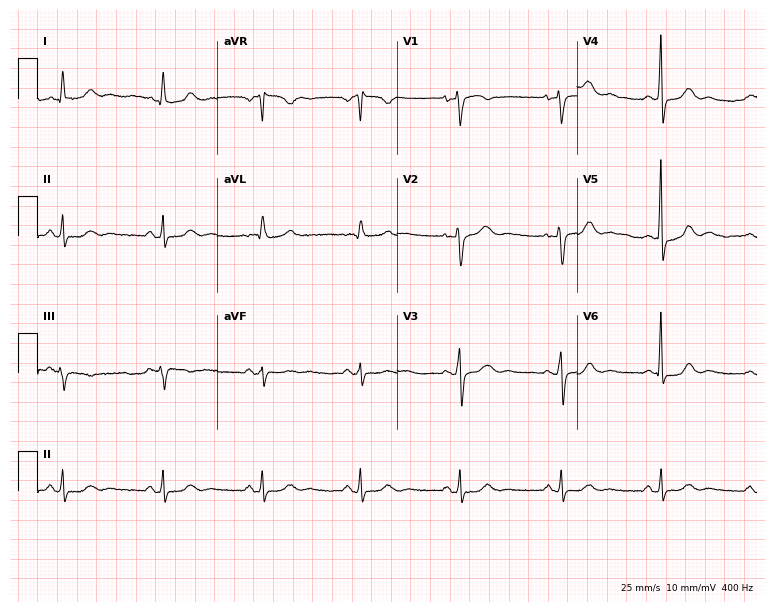
12-lead ECG from a 63-year-old female patient. Recorded interpretation: within normal limits.